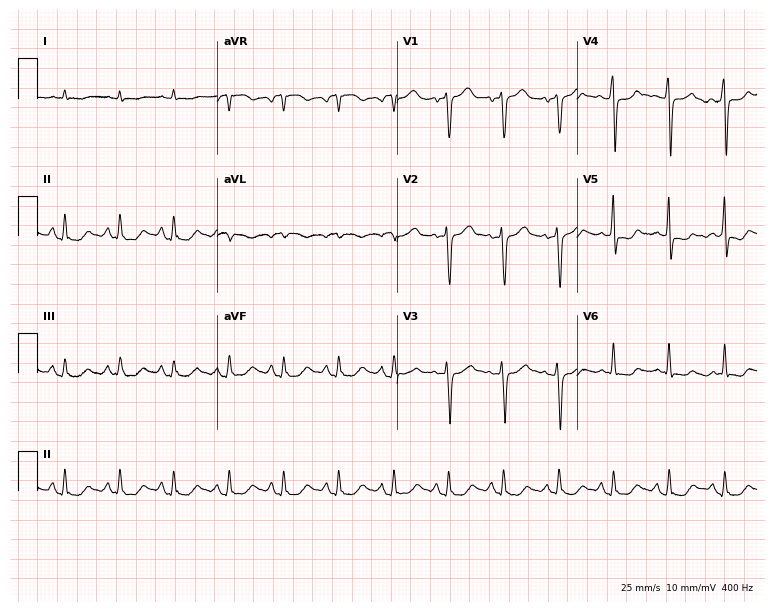
ECG — an 81-year-old male patient. Findings include sinus tachycardia (a sinus rate of 100 beats per minute or more).